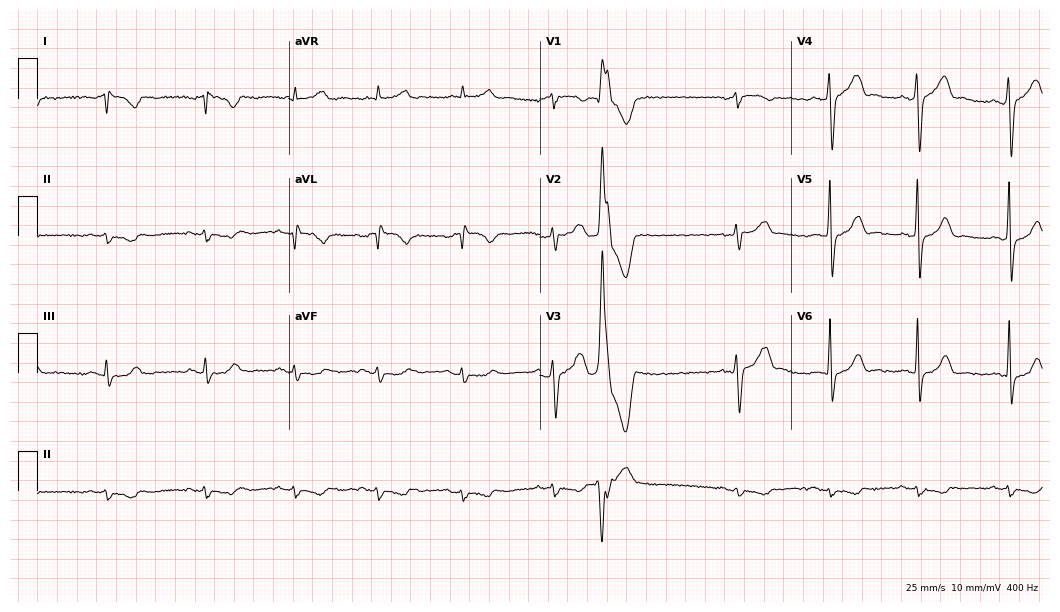
ECG (10.2-second recording at 400 Hz) — a man, 52 years old. Screened for six findings — first-degree AV block, right bundle branch block (RBBB), left bundle branch block (LBBB), sinus bradycardia, atrial fibrillation (AF), sinus tachycardia — none is recorded.